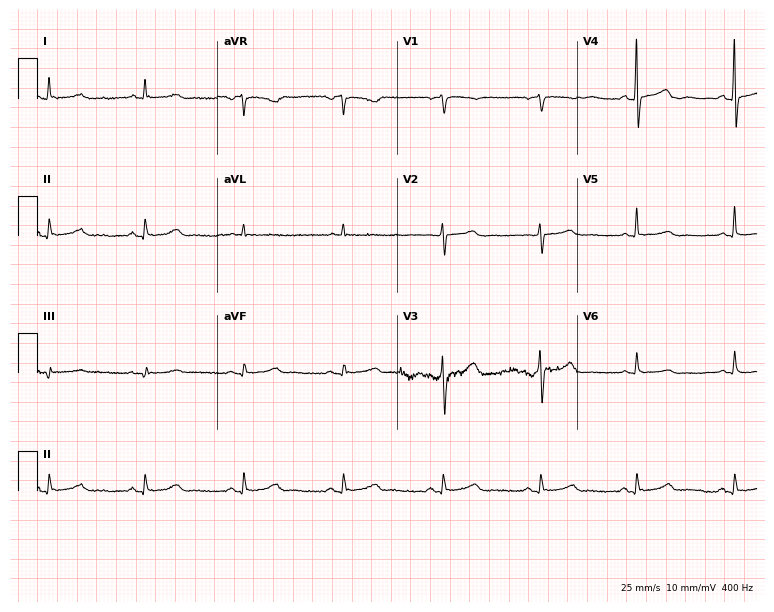
12-lead ECG from a female patient, 59 years old. Labelled as a normal ECG.